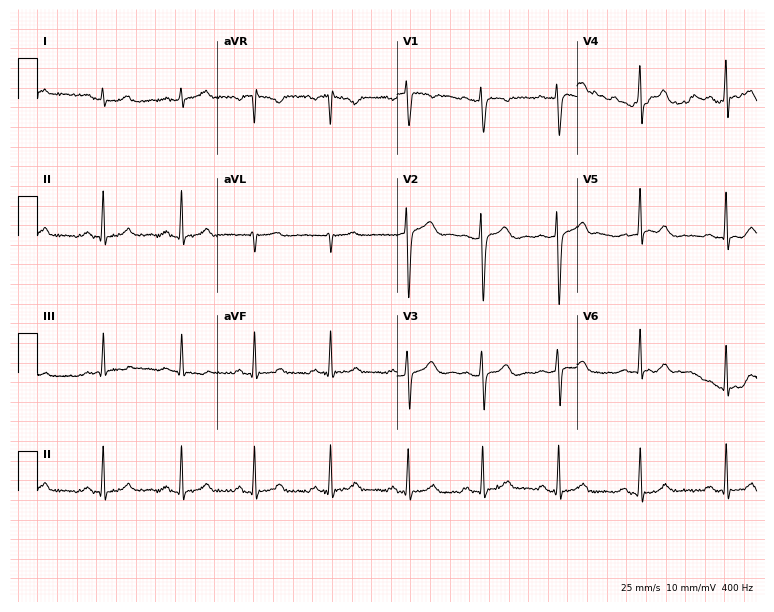
Standard 12-lead ECG recorded from a 28-year-old female. None of these six findings is recorded: first-degree AV block, right bundle branch block, left bundle branch block, sinus bradycardia, atrial fibrillation, sinus tachycardia.